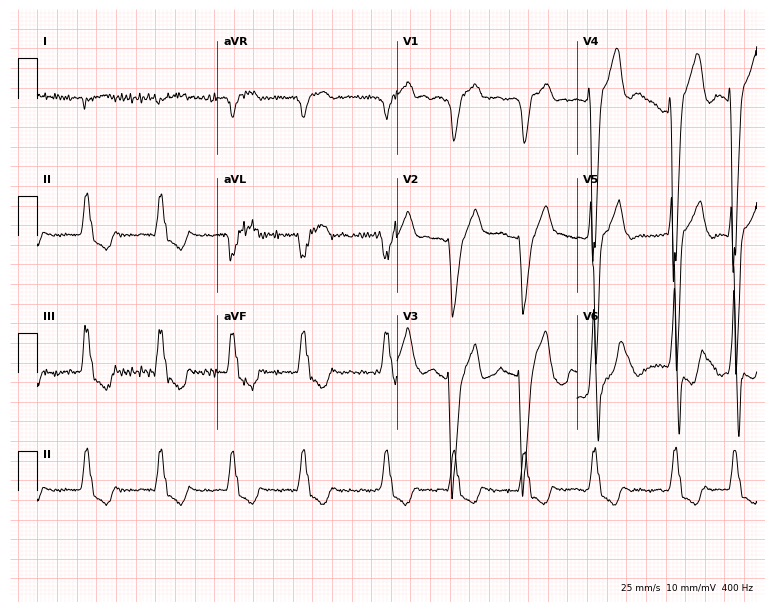
Electrocardiogram, a 73-year-old female patient. Of the six screened findings (first-degree AV block, right bundle branch block, left bundle branch block, sinus bradycardia, atrial fibrillation, sinus tachycardia), none is recorded.